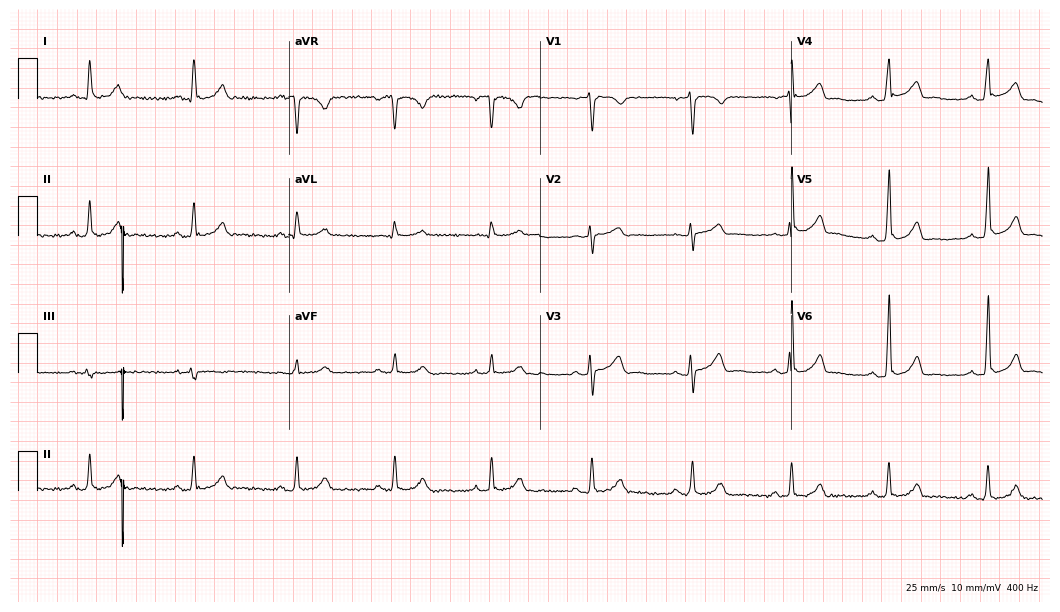
ECG (10.2-second recording at 400 Hz) — a 47-year-old man. Labelled as a normal ECG.